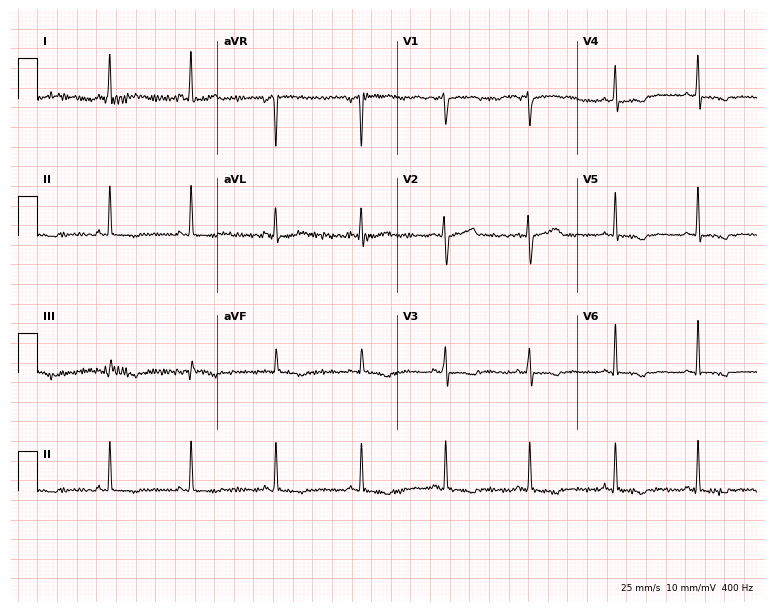
Resting 12-lead electrocardiogram. Patient: a female, 44 years old. Read as a normal ECG.